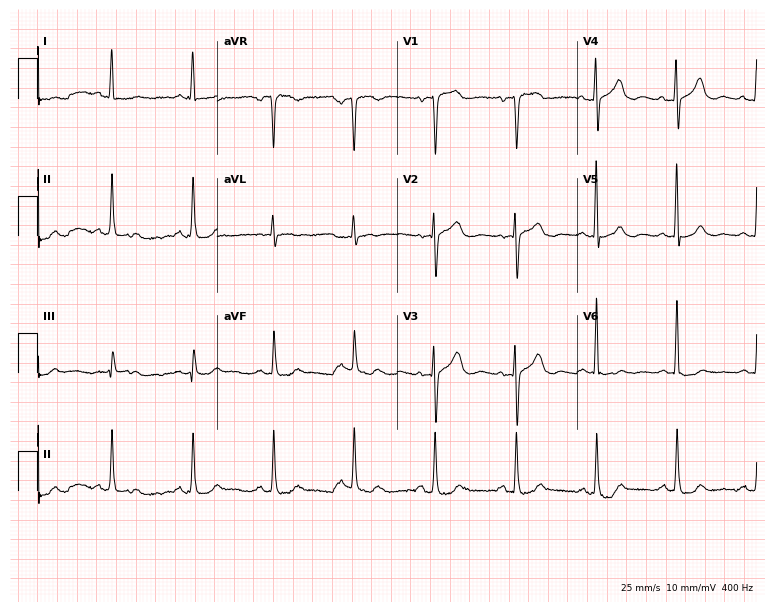
Resting 12-lead electrocardiogram (7.3-second recording at 400 Hz). Patient: a 70-year-old female. Read as a normal ECG.